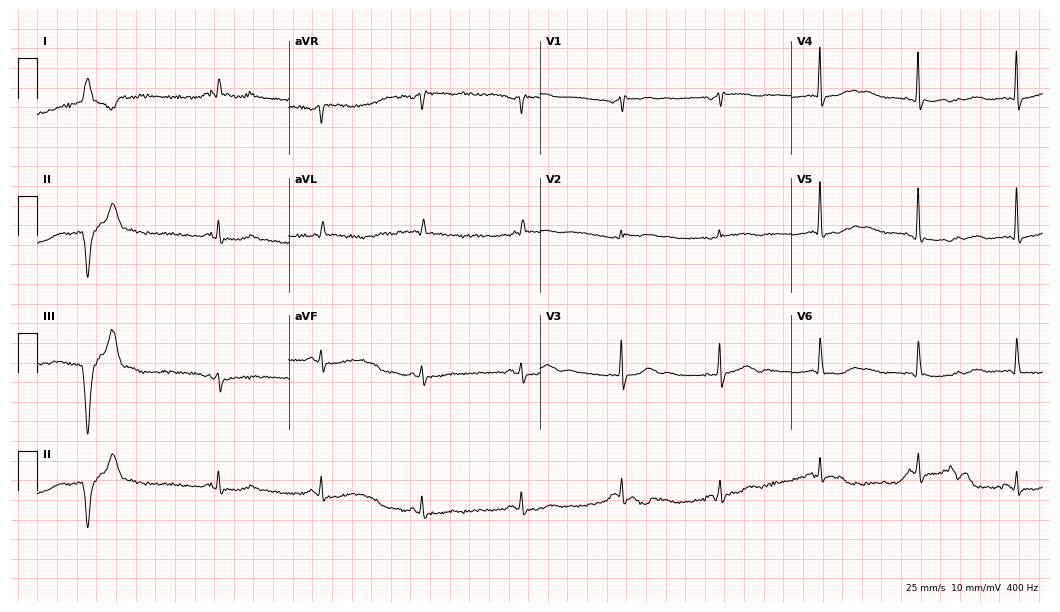
ECG — a 79-year-old man. Screened for six findings — first-degree AV block, right bundle branch block, left bundle branch block, sinus bradycardia, atrial fibrillation, sinus tachycardia — none is recorded. Other findings, if any, are not listed.